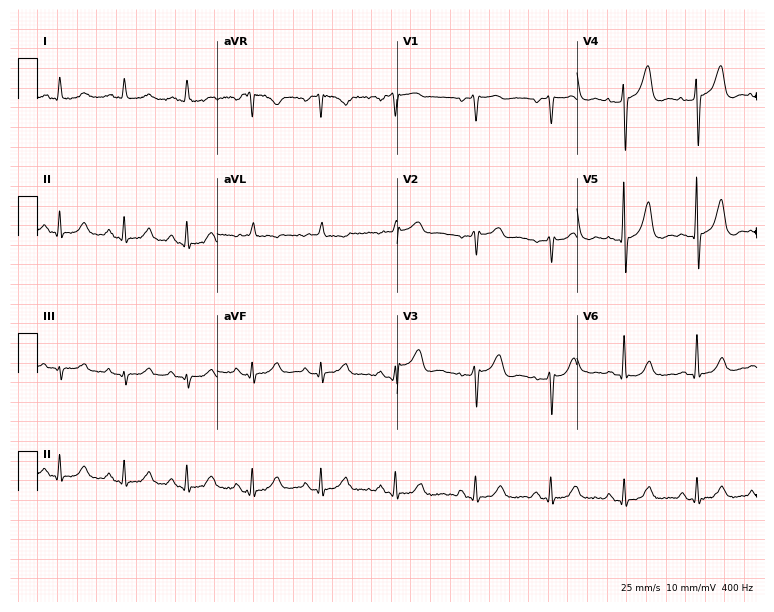
Resting 12-lead electrocardiogram. Patient: an 84-year-old female. None of these six findings is recorded: first-degree AV block, right bundle branch block, left bundle branch block, sinus bradycardia, atrial fibrillation, sinus tachycardia.